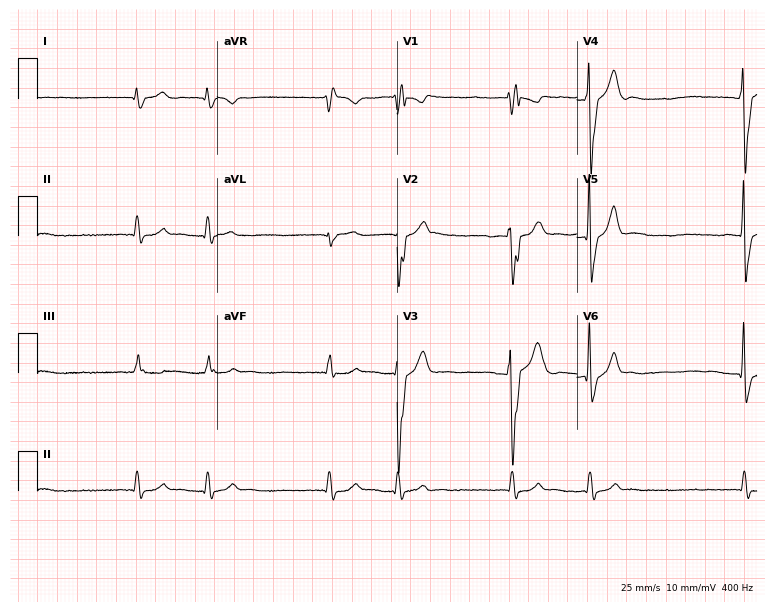
12-lead ECG from a man, 83 years old. Findings include right bundle branch block, atrial fibrillation.